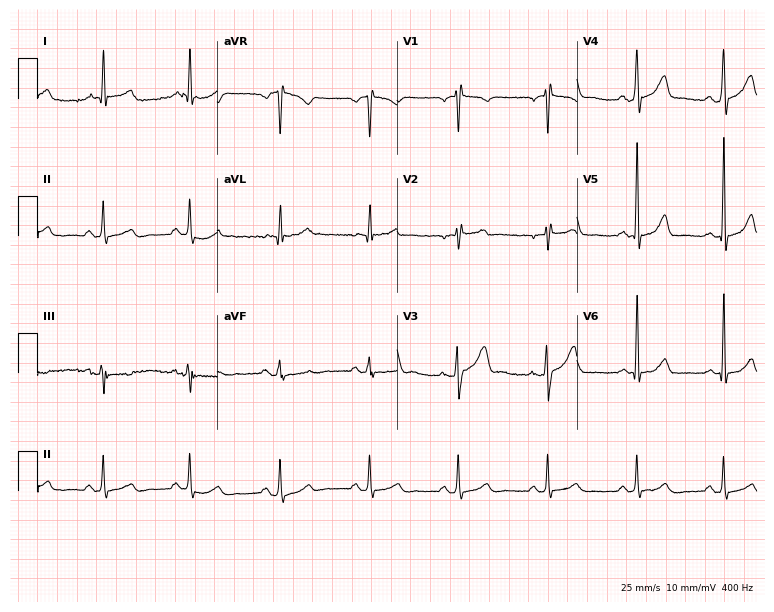
ECG (7.3-second recording at 400 Hz) — a 41-year-old male. Screened for six findings — first-degree AV block, right bundle branch block, left bundle branch block, sinus bradycardia, atrial fibrillation, sinus tachycardia — none is recorded.